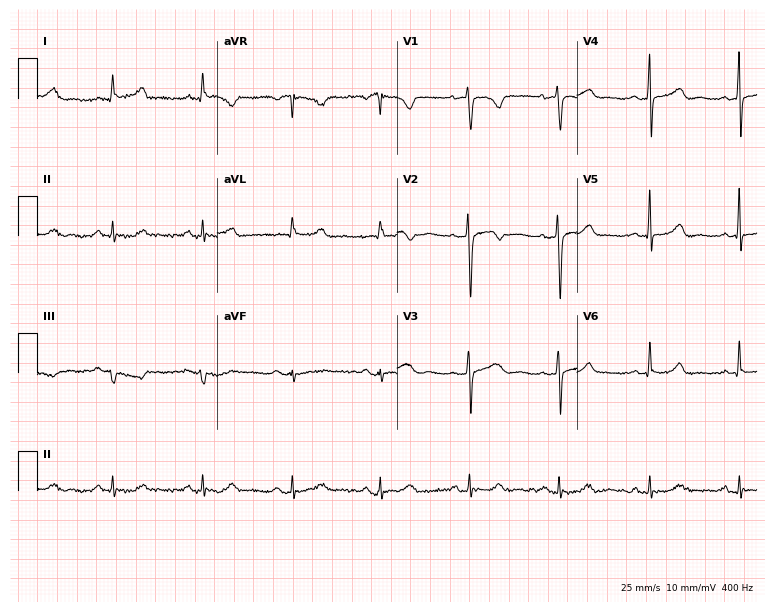
ECG — a female, 59 years old. Labelled as a normal ECG.